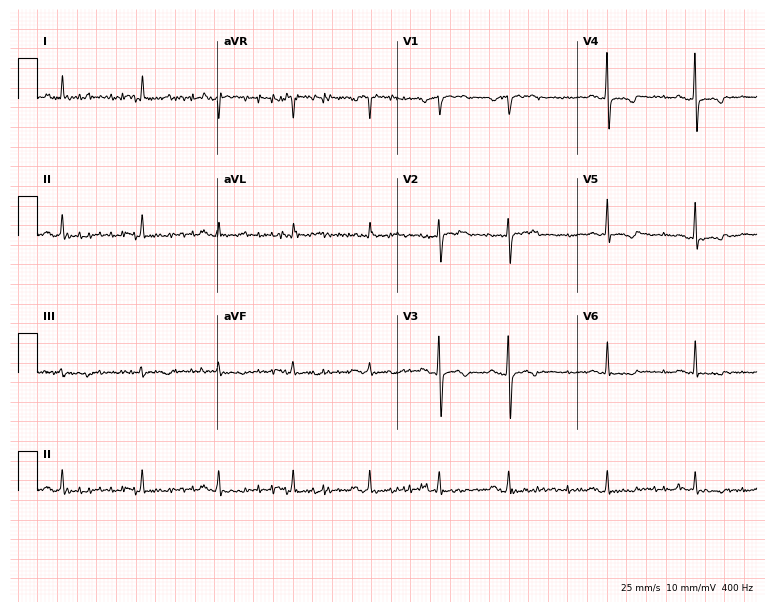
Resting 12-lead electrocardiogram (7.3-second recording at 400 Hz). Patient: a 55-year-old man. None of these six findings is recorded: first-degree AV block, right bundle branch block, left bundle branch block, sinus bradycardia, atrial fibrillation, sinus tachycardia. Only these six findings were labelled.